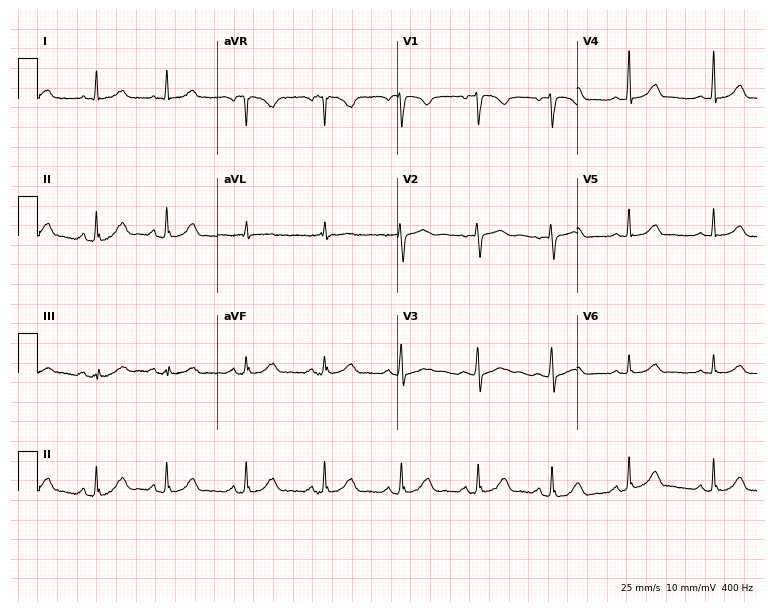
Electrocardiogram (7.3-second recording at 400 Hz), a female, 21 years old. Overall reading on record: normal ECG.